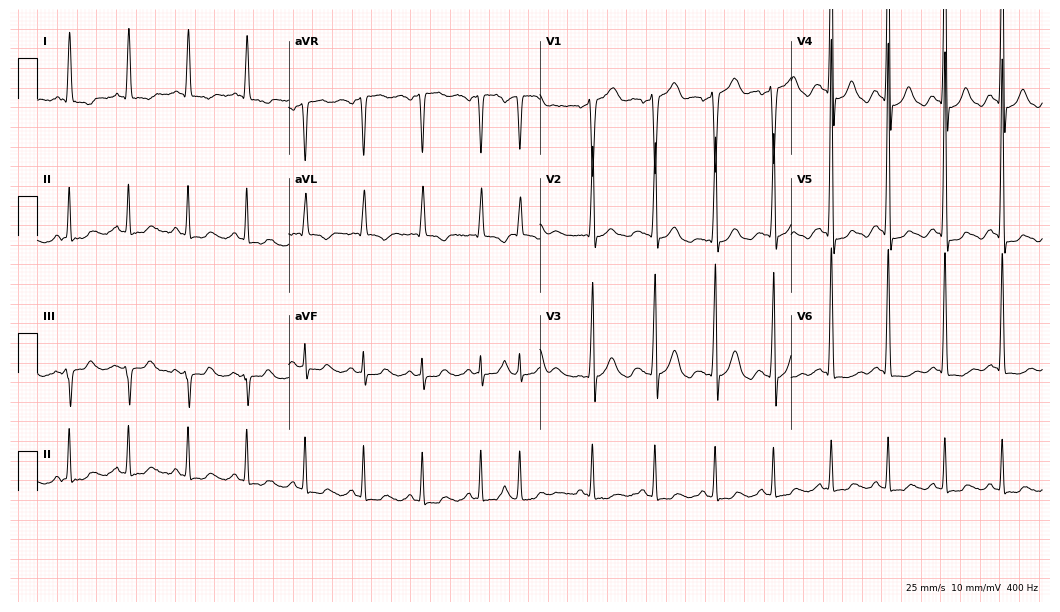
12-lead ECG from an 83-year-old male. Screened for six findings — first-degree AV block, right bundle branch block, left bundle branch block, sinus bradycardia, atrial fibrillation, sinus tachycardia — none is recorded. Only these six findings were labelled.